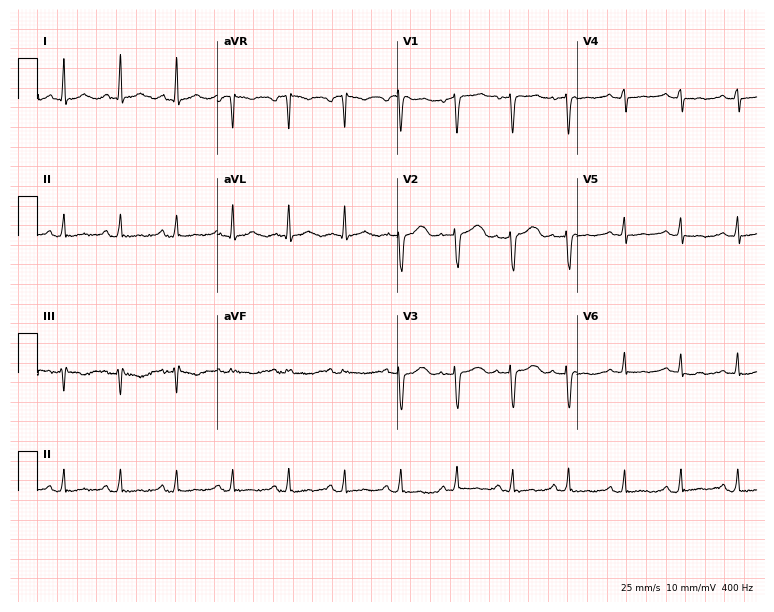
Electrocardiogram (7.3-second recording at 400 Hz), a female patient, 49 years old. Interpretation includes sinus tachycardia (a sinus rate of 100 beats per minute or more).